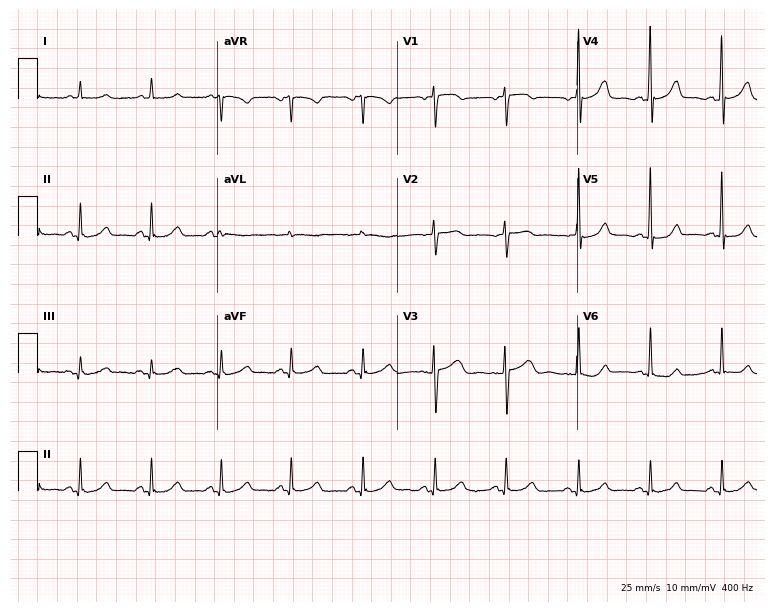
Standard 12-lead ECG recorded from a female, 62 years old (7.3-second recording at 400 Hz). Read as a normal ECG.